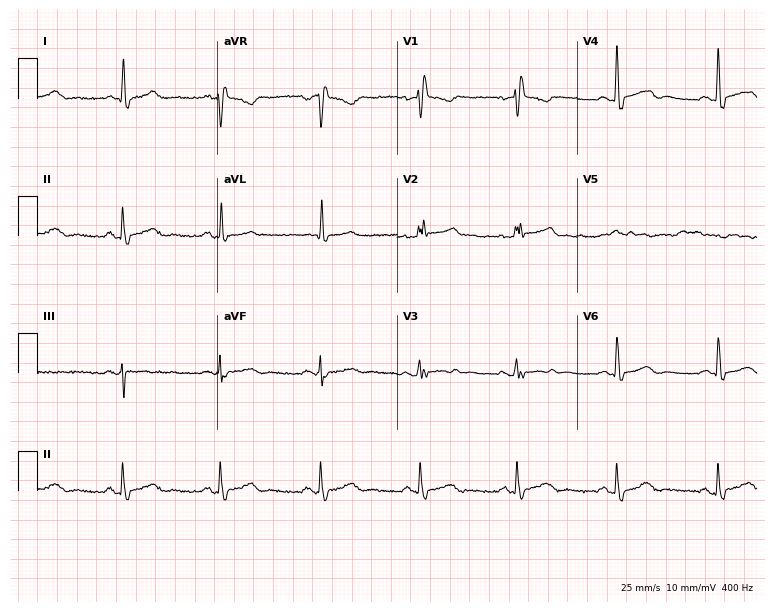
Standard 12-lead ECG recorded from an 80-year-old male. None of these six findings is recorded: first-degree AV block, right bundle branch block, left bundle branch block, sinus bradycardia, atrial fibrillation, sinus tachycardia. Only these six findings were labelled.